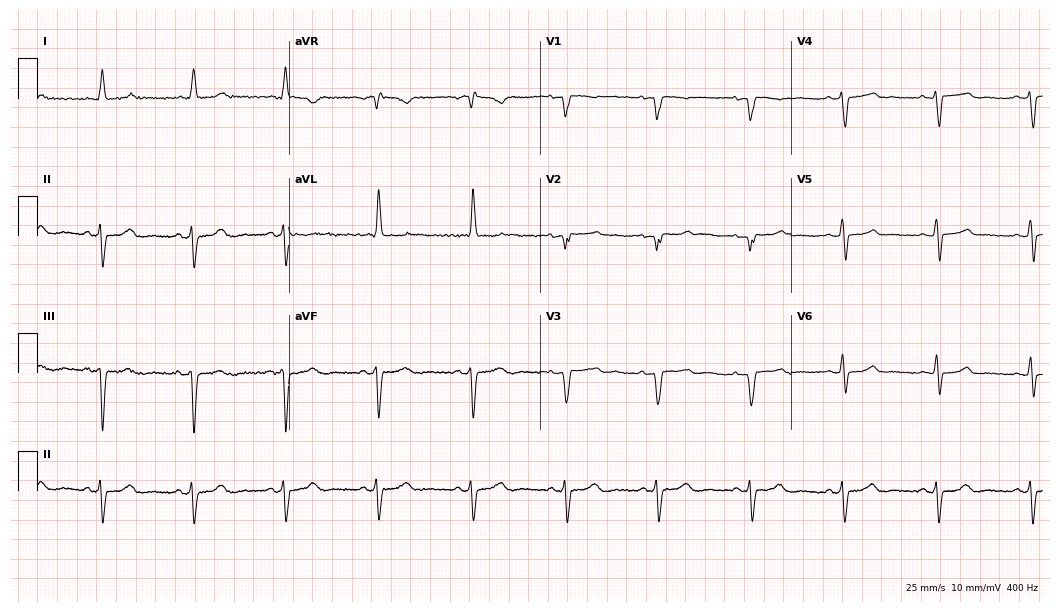
12-lead ECG from a woman, 57 years old (10.2-second recording at 400 Hz). No first-degree AV block, right bundle branch block (RBBB), left bundle branch block (LBBB), sinus bradycardia, atrial fibrillation (AF) or sinus tachycardia recorded for this tracing.